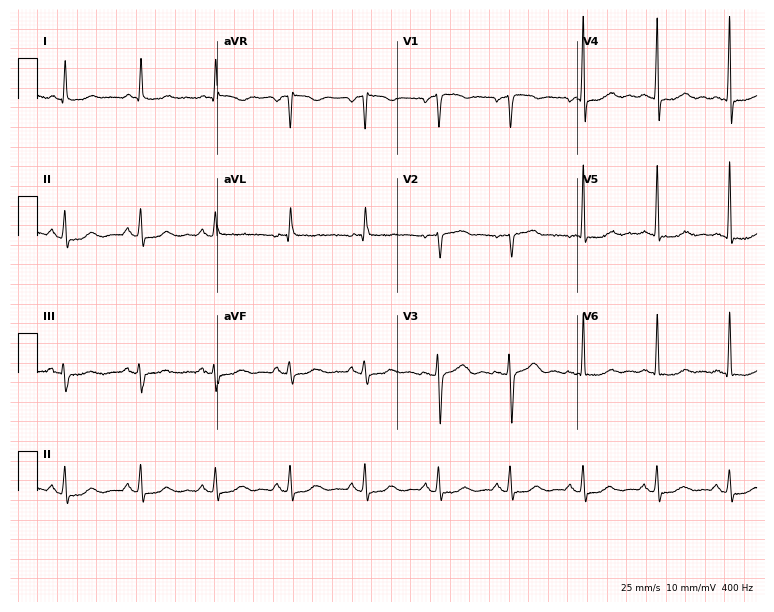
Standard 12-lead ECG recorded from a 67-year-old female patient. None of these six findings is recorded: first-degree AV block, right bundle branch block, left bundle branch block, sinus bradycardia, atrial fibrillation, sinus tachycardia. Only these six findings were labelled.